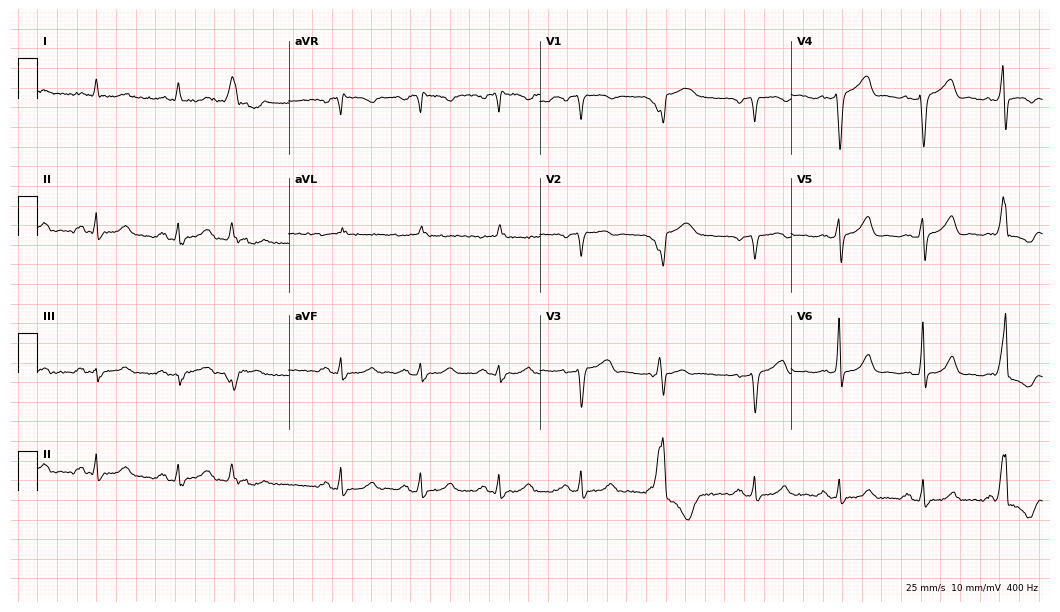
Resting 12-lead electrocardiogram (10.2-second recording at 400 Hz). Patient: a man, 77 years old. None of these six findings is recorded: first-degree AV block, right bundle branch block, left bundle branch block, sinus bradycardia, atrial fibrillation, sinus tachycardia. Other findings, if any, are not listed.